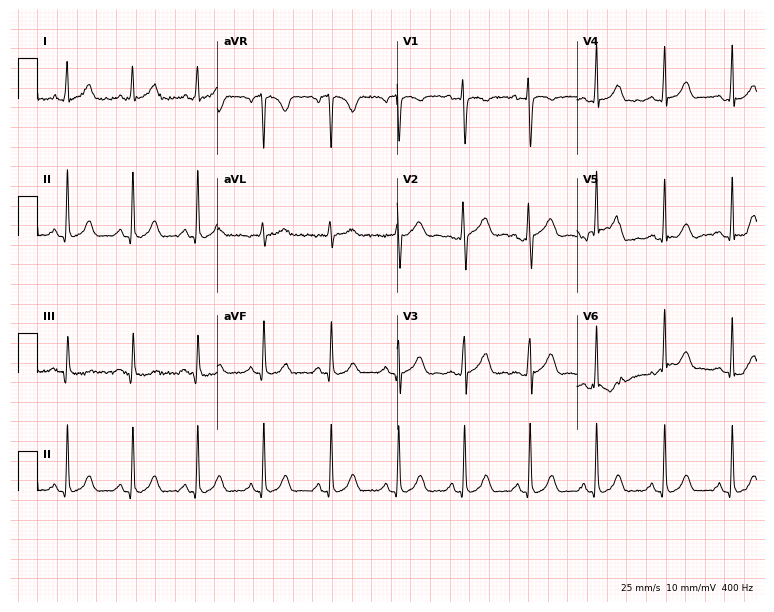
Resting 12-lead electrocardiogram (7.3-second recording at 400 Hz). Patient: a female, 29 years old. Read as a normal ECG.